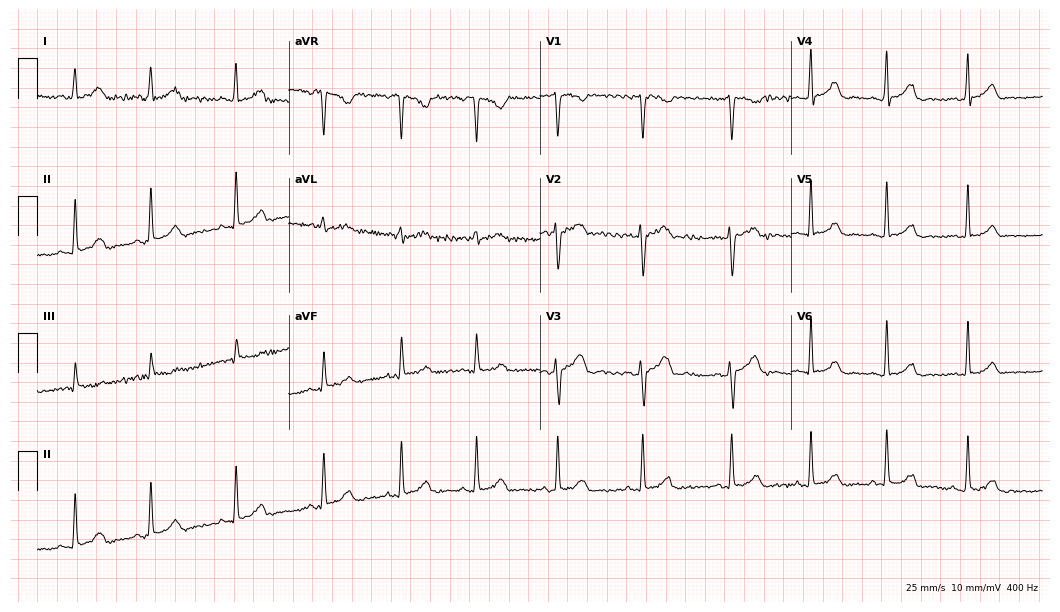
Resting 12-lead electrocardiogram. Patient: a woman, 27 years old. Read as a normal ECG.